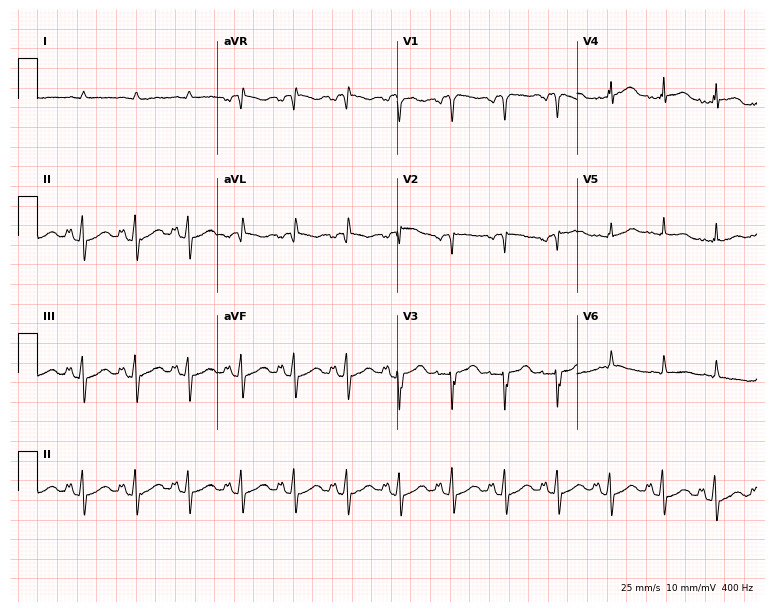
Resting 12-lead electrocardiogram (7.3-second recording at 400 Hz). Patient: an 84-year-old man. The tracing shows sinus tachycardia (a sinus rate of 100 beats per minute or more).